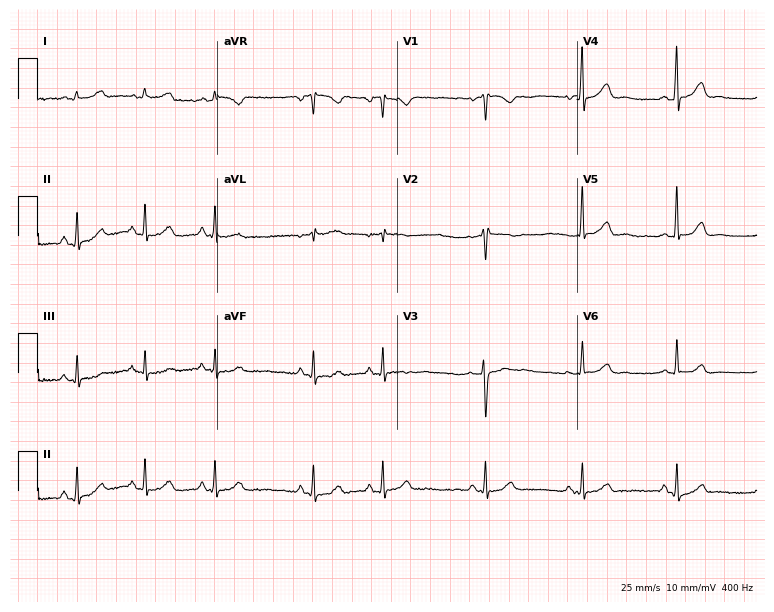
Resting 12-lead electrocardiogram (7.3-second recording at 400 Hz). Patient: a 34-year-old female. None of these six findings is recorded: first-degree AV block, right bundle branch block (RBBB), left bundle branch block (LBBB), sinus bradycardia, atrial fibrillation (AF), sinus tachycardia. Other findings, if any, are not listed.